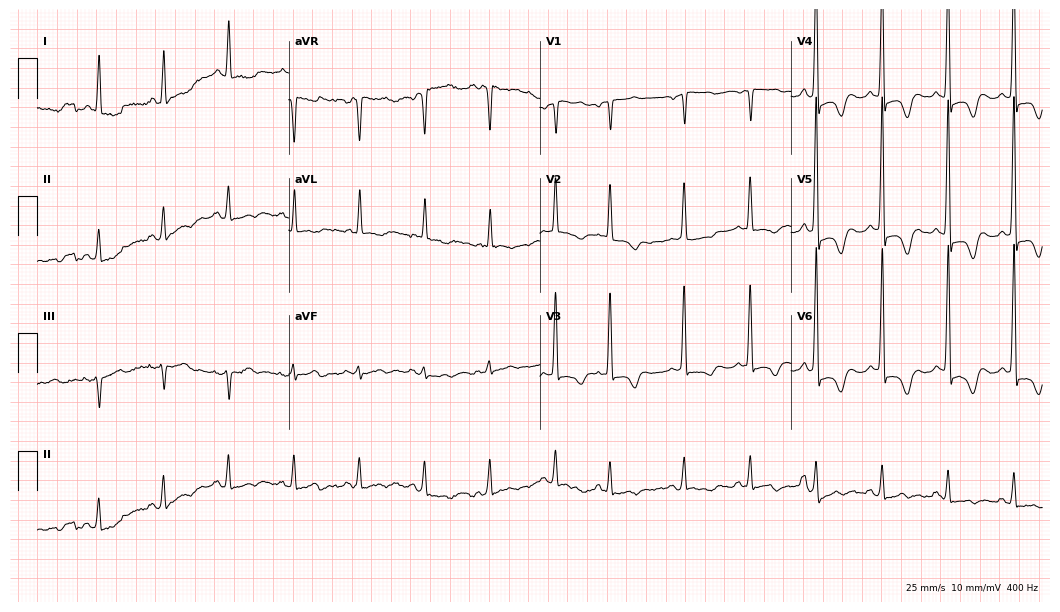
12-lead ECG from a man, 85 years old (10.2-second recording at 400 Hz). No first-degree AV block, right bundle branch block, left bundle branch block, sinus bradycardia, atrial fibrillation or sinus tachycardia recorded for this tracing.